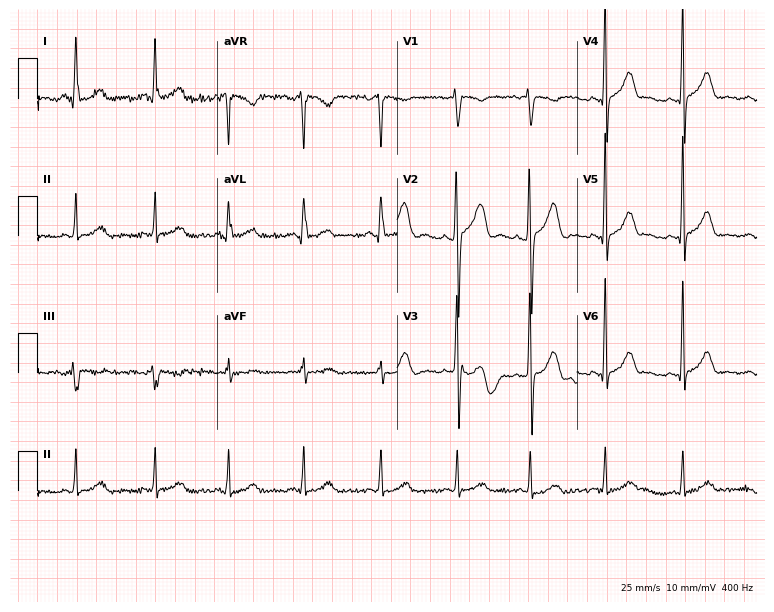
Electrocardiogram, a 25-year-old woman. Of the six screened findings (first-degree AV block, right bundle branch block, left bundle branch block, sinus bradycardia, atrial fibrillation, sinus tachycardia), none is recorded. Only these six findings were labelled.